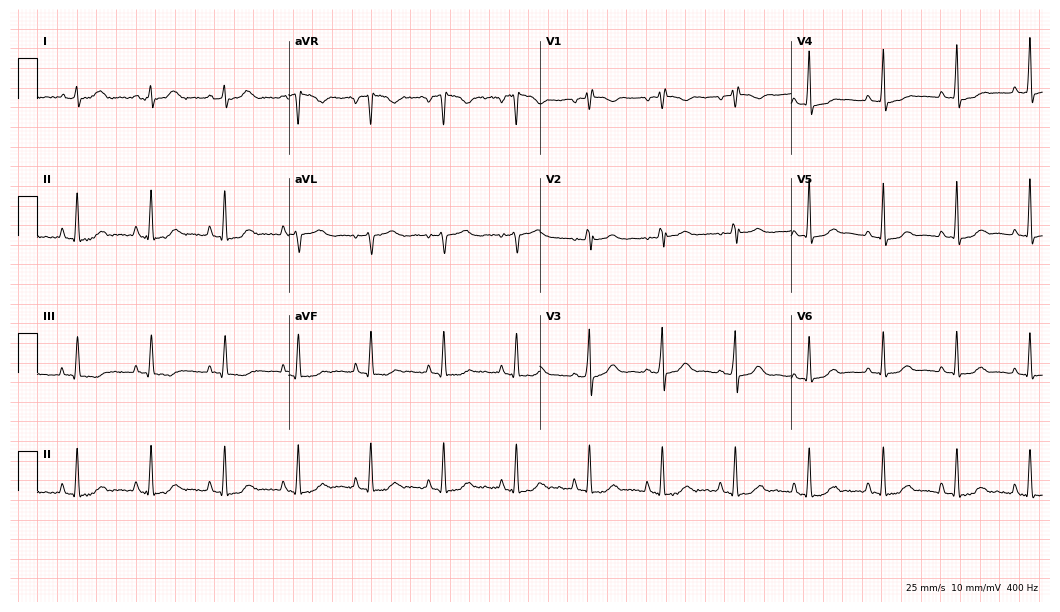
12-lead ECG (10.2-second recording at 400 Hz) from a woman, 60 years old. Labelled as a normal ECG.